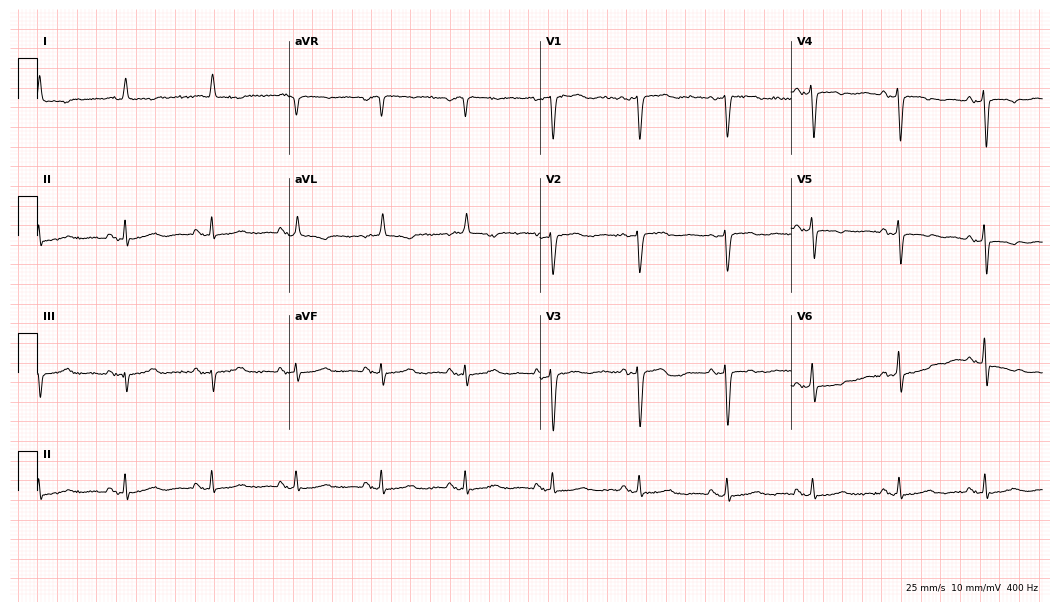
12-lead ECG (10.2-second recording at 400 Hz) from a 70-year-old woman. Screened for six findings — first-degree AV block, right bundle branch block, left bundle branch block, sinus bradycardia, atrial fibrillation, sinus tachycardia — none is recorded. Findings outside these six are not listed.